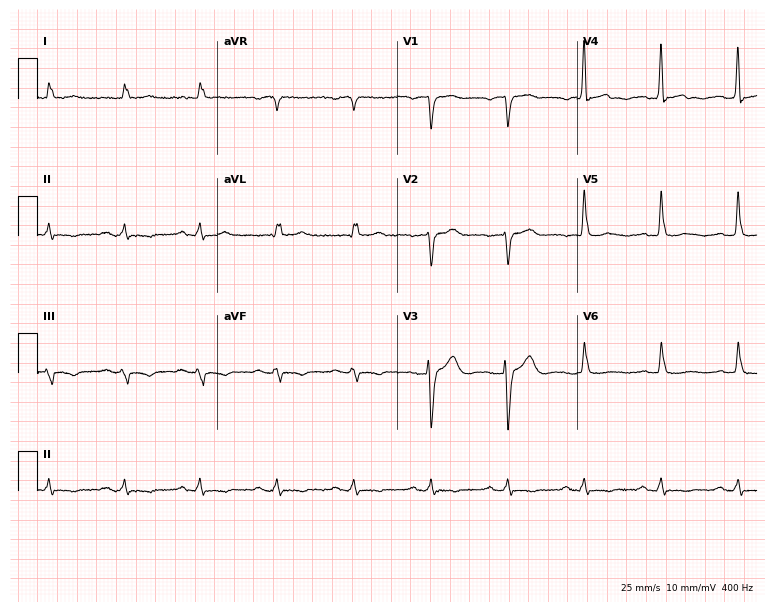
ECG — a male patient, 85 years old. Screened for six findings — first-degree AV block, right bundle branch block, left bundle branch block, sinus bradycardia, atrial fibrillation, sinus tachycardia — none is recorded.